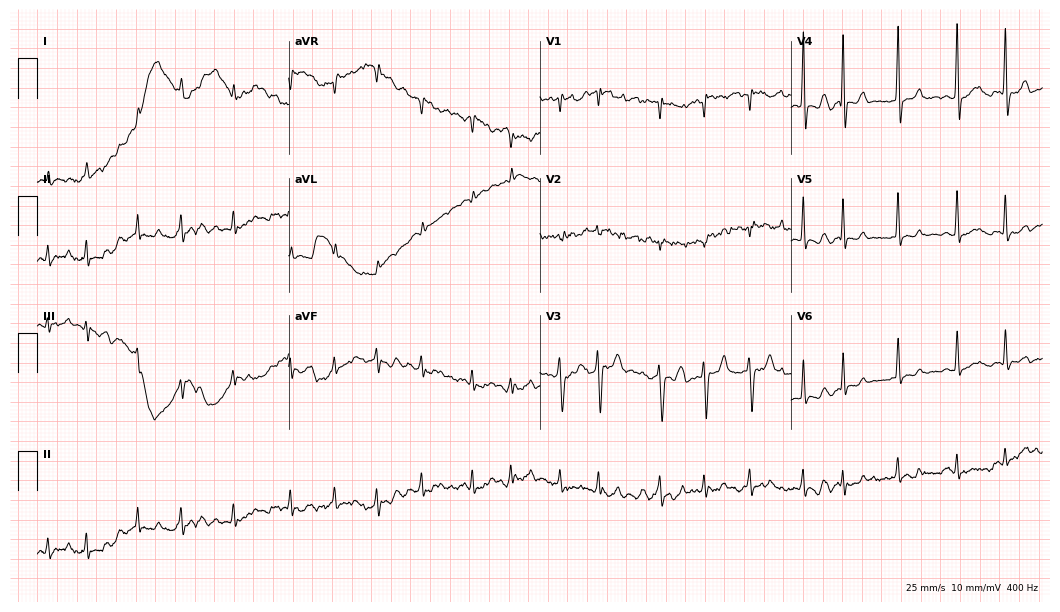
Standard 12-lead ECG recorded from a man, 85 years old. The tracing shows atrial fibrillation, sinus tachycardia (a sinus rate of 100 beats per minute or more).